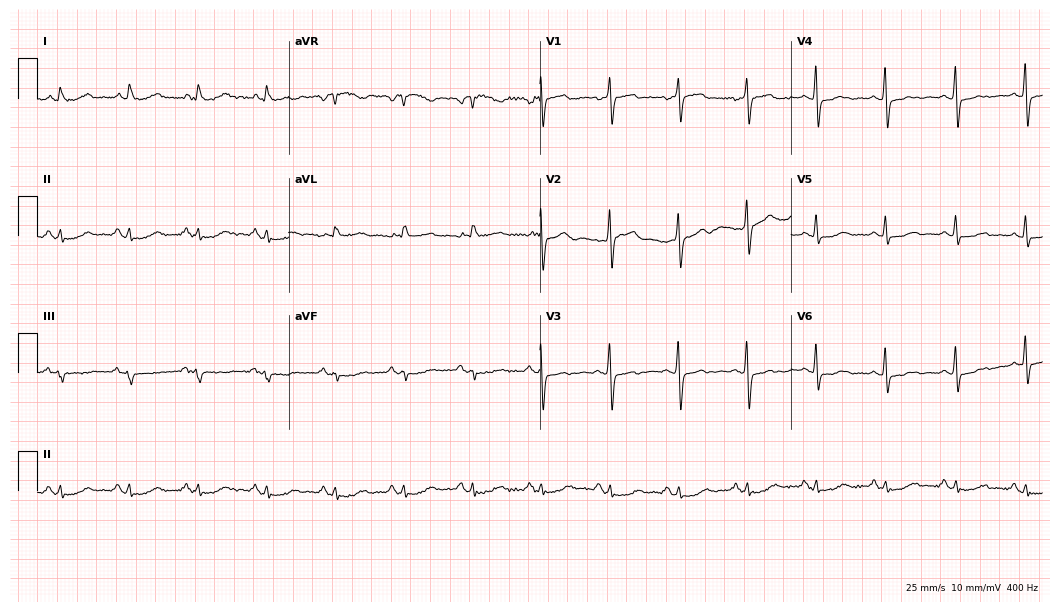
12-lead ECG from a 64-year-old woman. No first-degree AV block, right bundle branch block, left bundle branch block, sinus bradycardia, atrial fibrillation or sinus tachycardia recorded for this tracing. Findings outside these six are not listed.